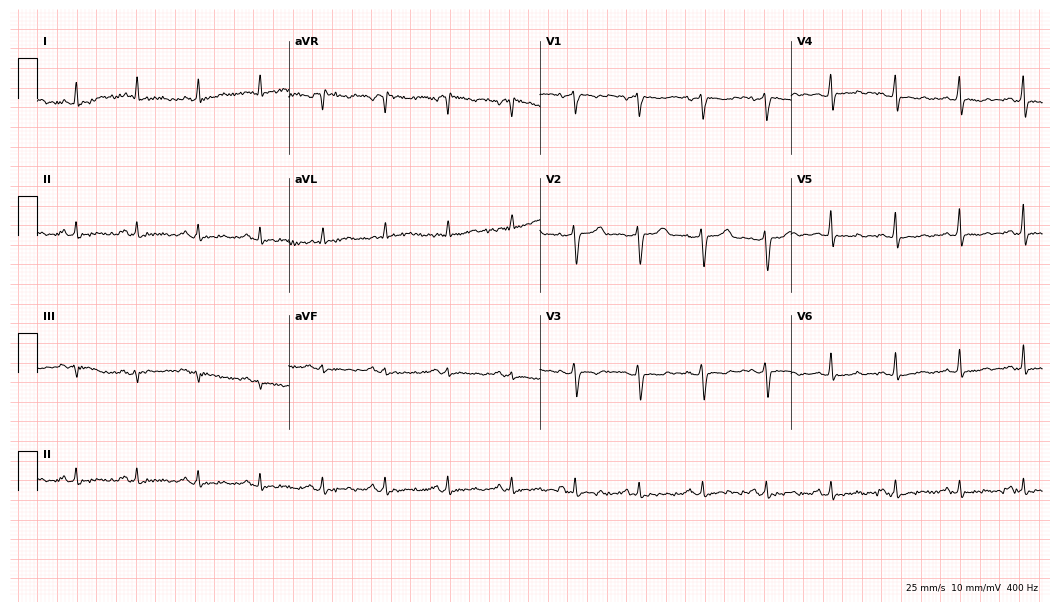
Resting 12-lead electrocardiogram. Patient: a woman, 42 years old. None of these six findings is recorded: first-degree AV block, right bundle branch block, left bundle branch block, sinus bradycardia, atrial fibrillation, sinus tachycardia.